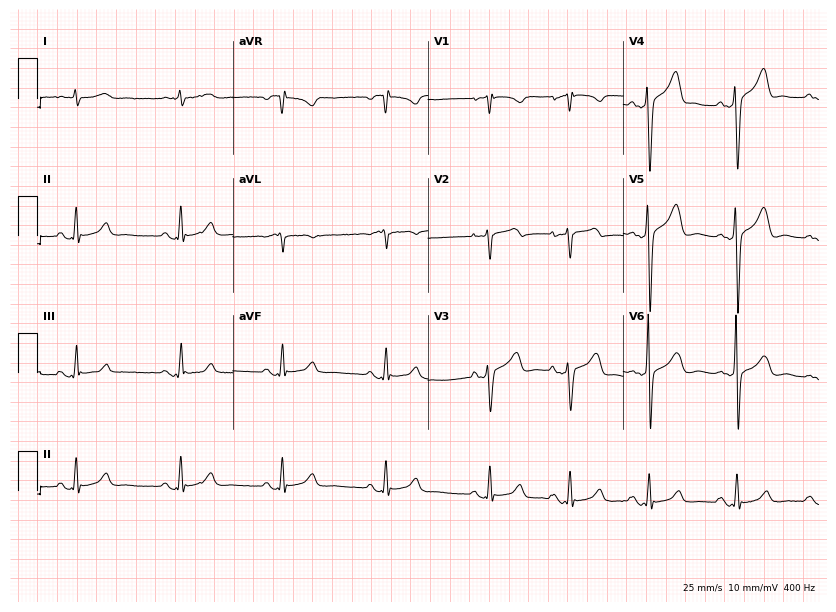
ECG (8-second recording at 400 Hz) — a male patient, 75 years old. Screened for six findings — first-degree AV block, right bundle branch block (RBBB), left bundle branch block (LBBB), sinus bradycardia, atrial fibrillation (AF), sinus tachycardia — none is recorded.